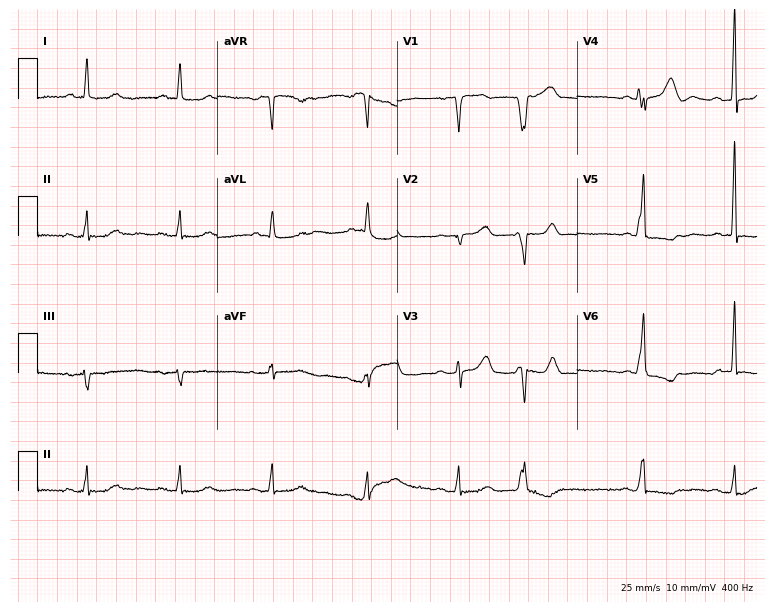
12-lead ECG from a female, 80 years old (7.3-second recording at 400 Hz). No first-degree AV block, right bundle branch block (RBBB), left bundle branch block (LBBB), sinus bradycardia, atrial fibrillation (AF) or sinus tachycardia recorded for this tracing. Only these six findings were labelled.